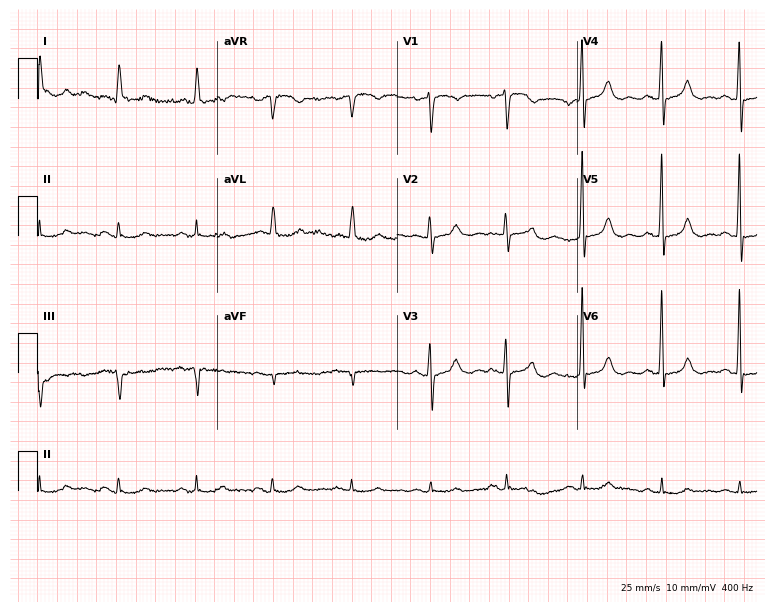
Standard 12-lead ECG recorded from a 77-year-old woman. None of these six findings is recorded: first-degree AV block, right bundle branch block (RBBB), left bundle branch block (LBBB), sinus bradycardia, atrial fibrillation (AF), sinus tachycardia.